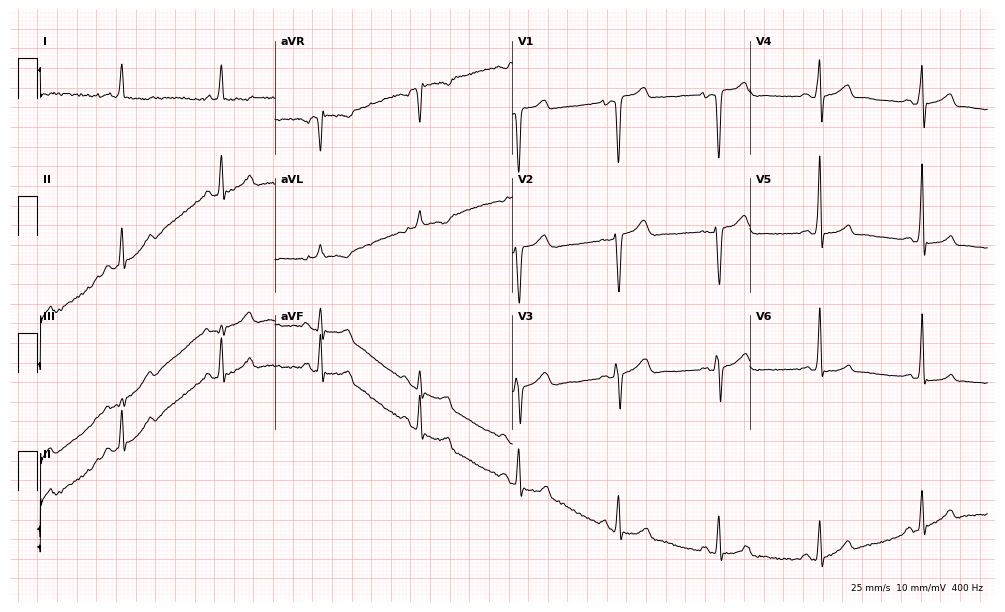
Electrocardiogram, a 79-year-old male. Of the six screened findings (first-degree AV block, right bundle branch block, left bundle branch block, sinus bradycardia, atrial fibrillation, sinus tachycardia), none is recorded. Only these six findings were labelled.